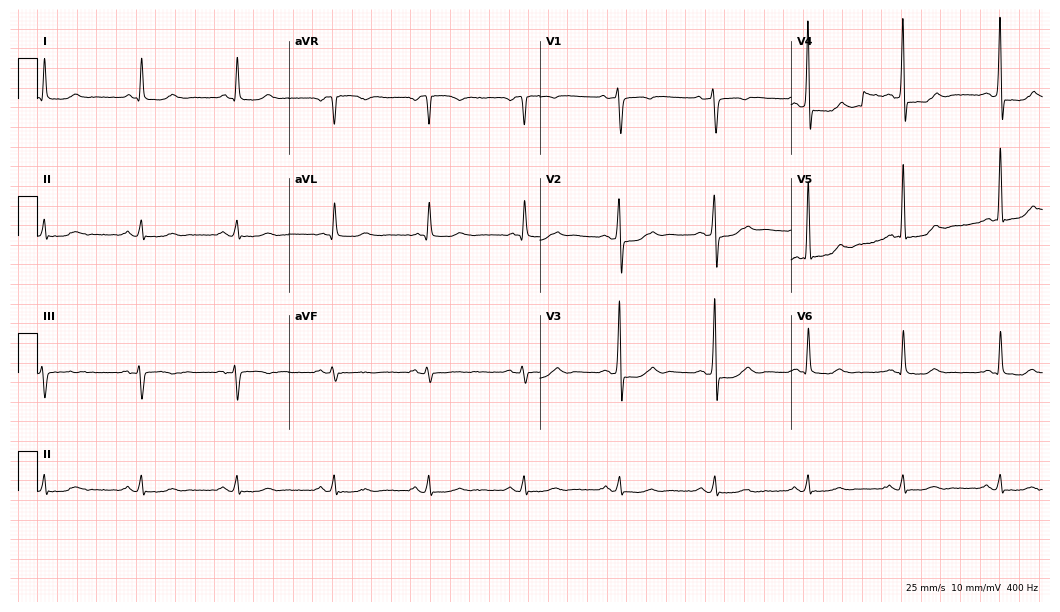
12-lead ECG from a male patient, 81 years old. No first-degree AV block, right bundle branch block, left bundle branch block, sinus bradycardia, atrial fibrillation or sinus tachycardia recorded for this tracing. Only these six findings were labelled.